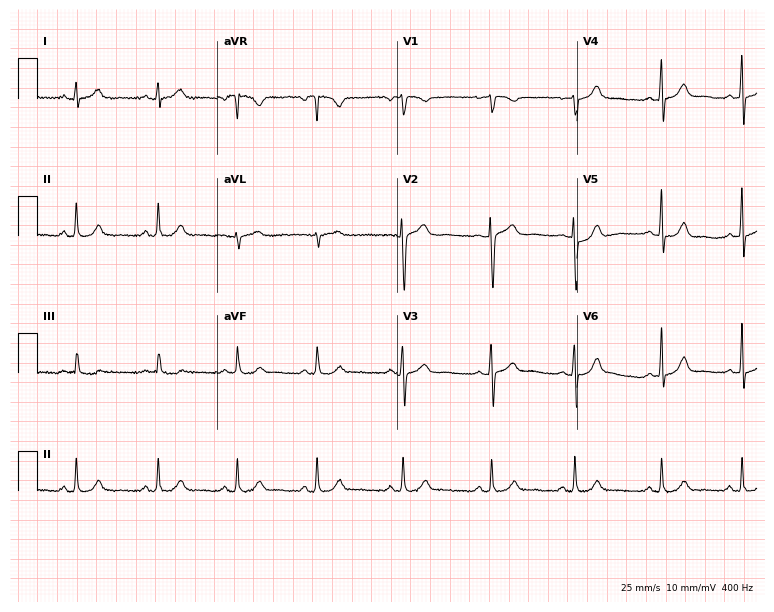
Standard 12-lead ECG recorded from a 23-year-old female (7.3-second recording at 400 Hz). None of these six findings is recorded: first-degree AV block, right bundle branch block, left bundle branch block, sinus bradycardia, atrial fibrillation, sinus tachycardia. Only these six findings were labelled.